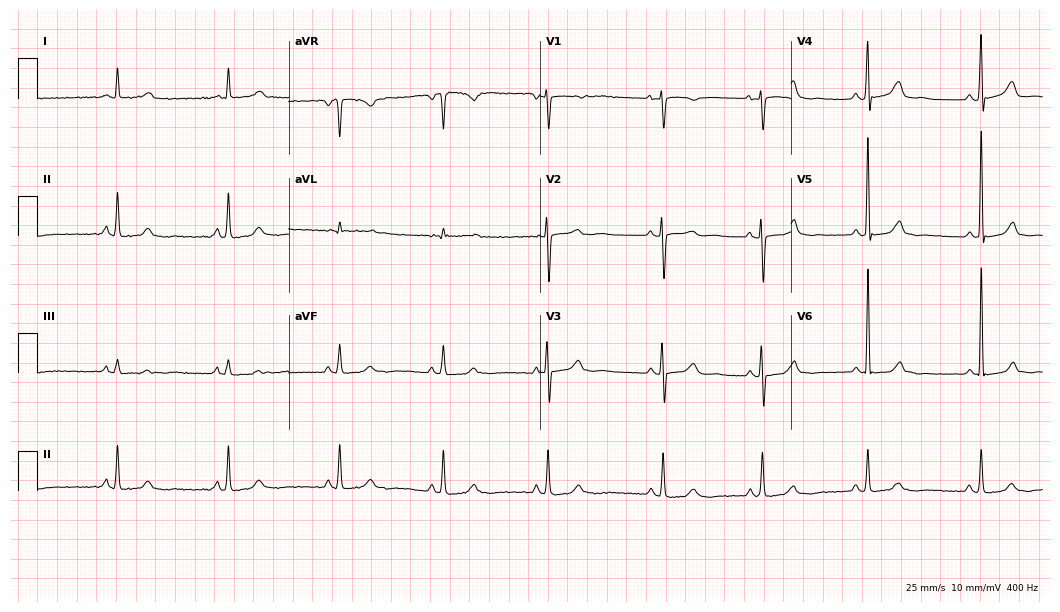
Electrocardiogram (10.2-second recording at 400 Hz), a female, 50 years old. Overall reading on record: normal ECG.